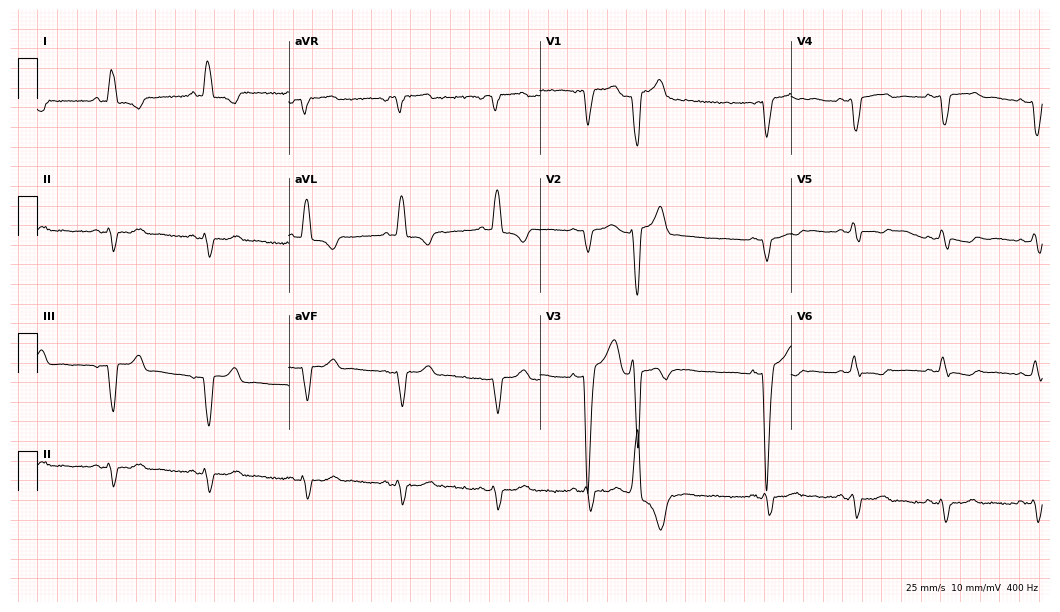
Standard 12-lead ECG recorded from a woman, 44 years old (10.2-second recording at 400 Hz). The tracing shows left bundle branch block (LBBB).